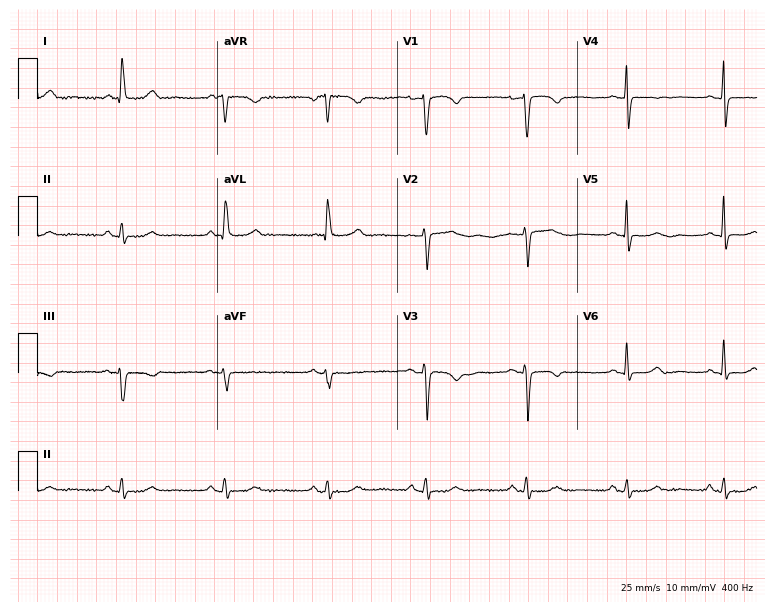
Resting 12-lead electrocardiogram (7.3-second recording at 400 Hz). Patient: a female, 65 years old. Read as a normal ECG.